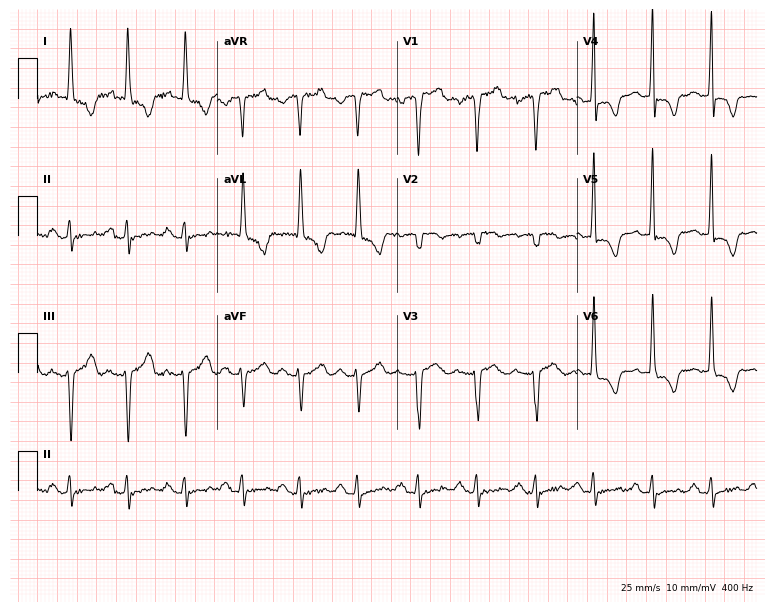
12-lead ECG from a man, 73 years old (7.3-second recording at 400 Hz). No first-degree AV block, right bundle branch block, left bundle branch block, sinus bradycardia, atrial fibrillation or sinus tachycardia recorded for this tracing.